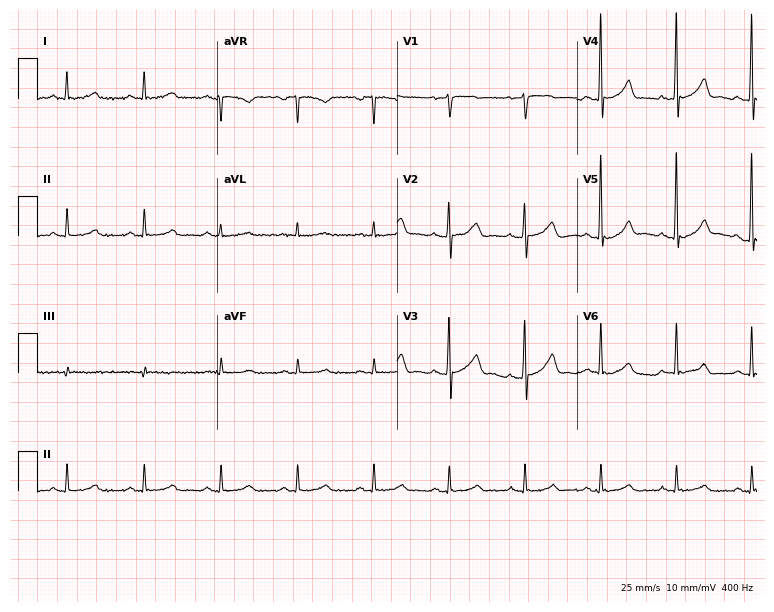
12-lead ECG (7.3-second recording at 400 Hz) from a 69-year-old man. Labelled as a normal ECG.